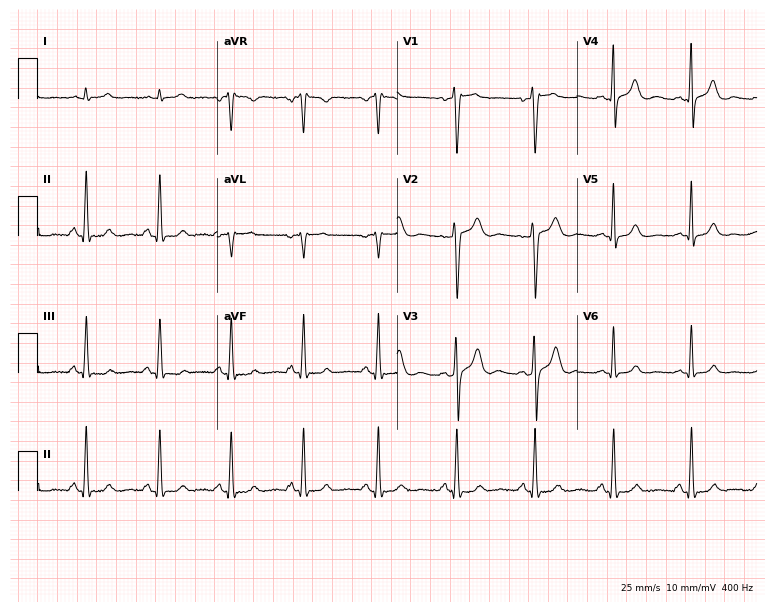
12-lead ECG from a male, 31 years old. No first-degree AV block, right bundle branch block (RBBB), left bundle branch block (LBBB), sinus bradycardia, atrial fibrillation (AF) or sinus tachycardia recorded for this tracing. Only these six findings were labelled.